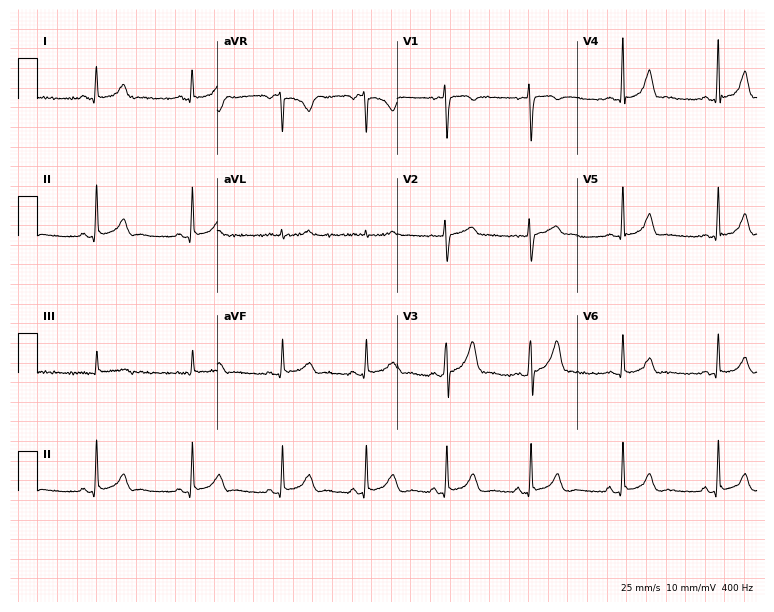
Electrocardiogram, a 34-year-old female. Overall reading on record: normal ECG.